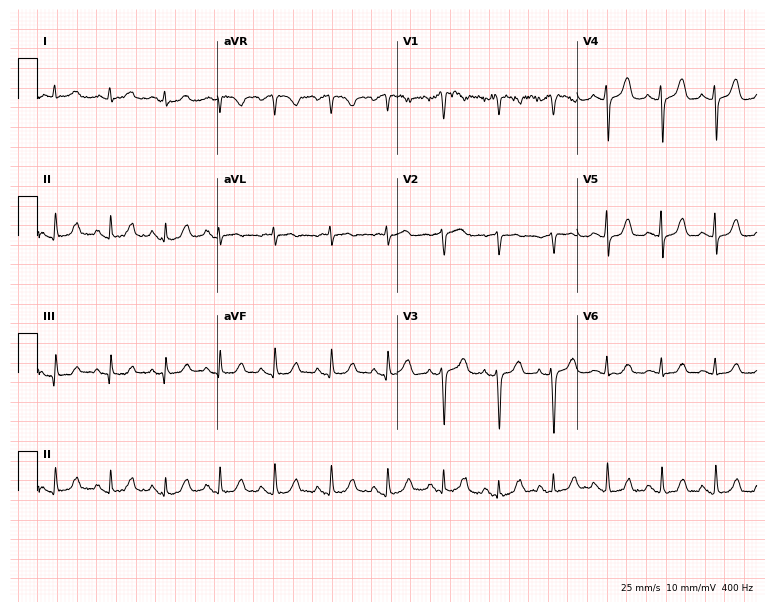
Standard 12-lead ECG recorded from a woman, 65 years old. The tracing shows sinus tachycardia (a sinus rate of 100 beats per minute or more).